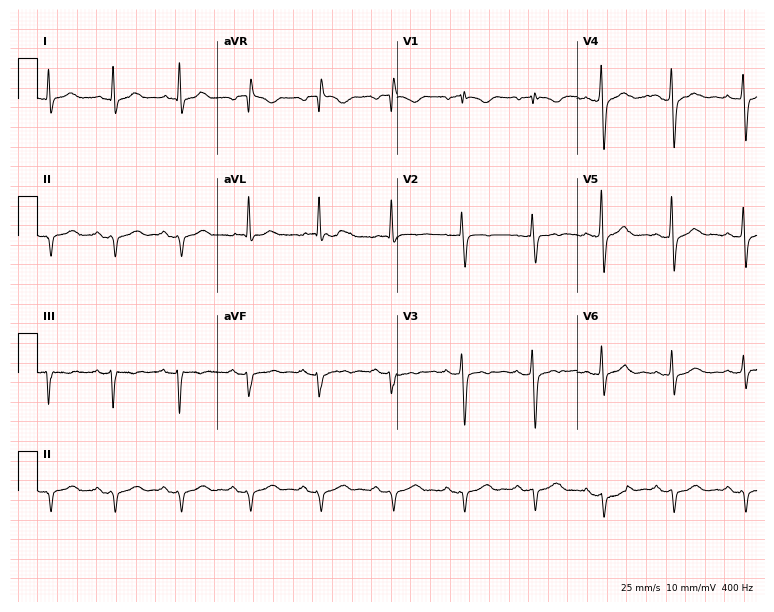
Resting 12-lead electrocardiogram. Patient: a 64-year-old male. None of these six findings is recorded: first-degree AV block, right bundle branch block, left bundle branch block, sinus bradycardia, atrial fibrillation, sinus tachycardia. Only these six findings were labelled.